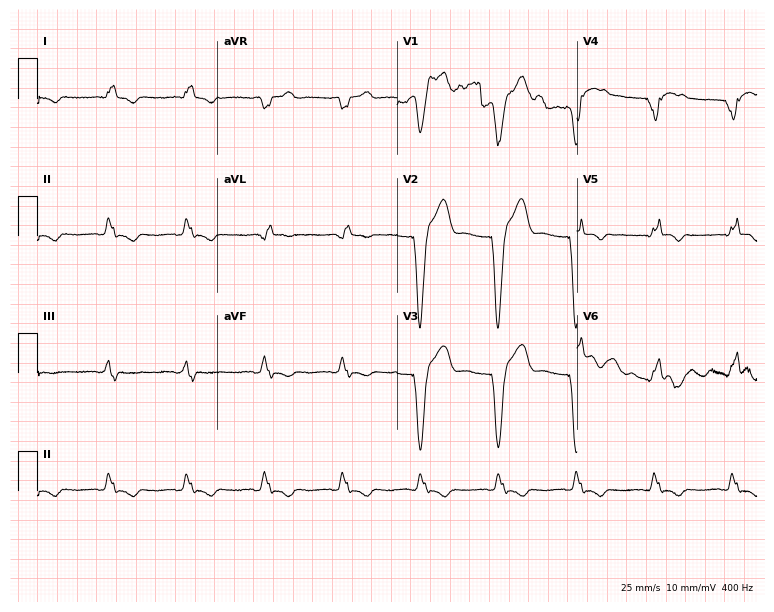
Resting 12-lead electrocardiogram. Patient: a 70-year-old male. None of these six findings is recorded: first-degree AV block, right bundle branch block, left bundle branch block, sinus bradycardia, atrial fibrillation, sinus tachycardia. Only these six findings were labelled.